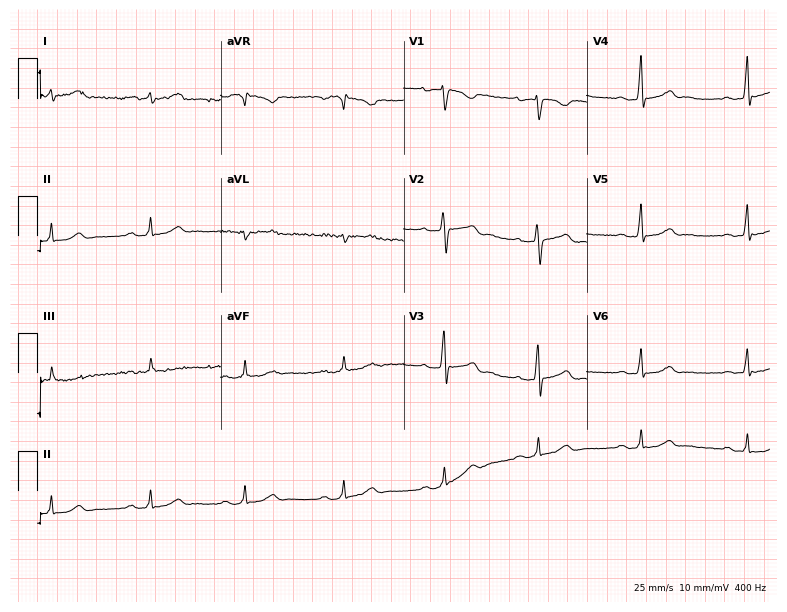
Standard 12-lead ECG recorded from a female, 44 years old (7.5-second recording at 400 Hz). Read as a normal ECG.